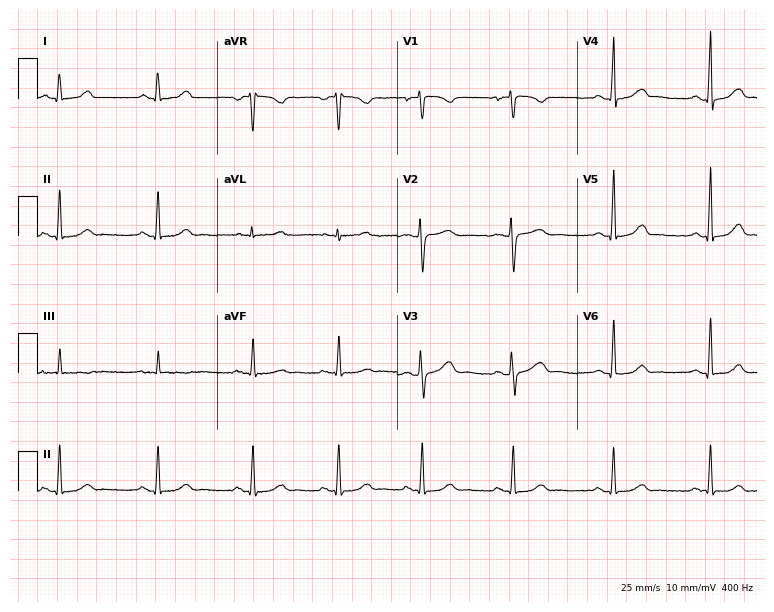
12-lead ECG from a woman, 29 years old. Labelled as a normal ECG.